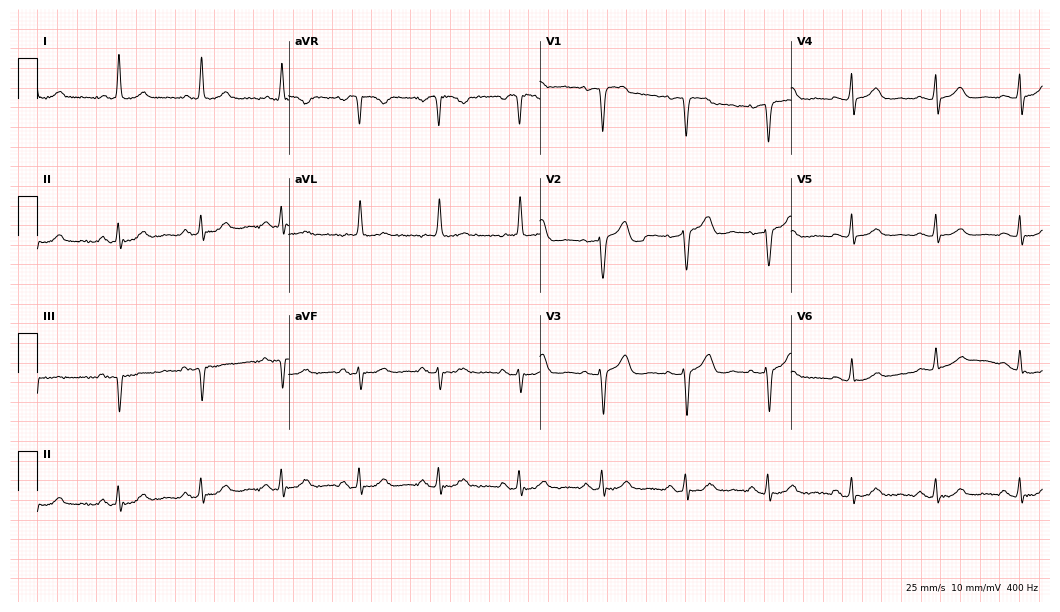
12-lead ECG from a female patient, 82 years old. Recorded interpretation: within normal limits.